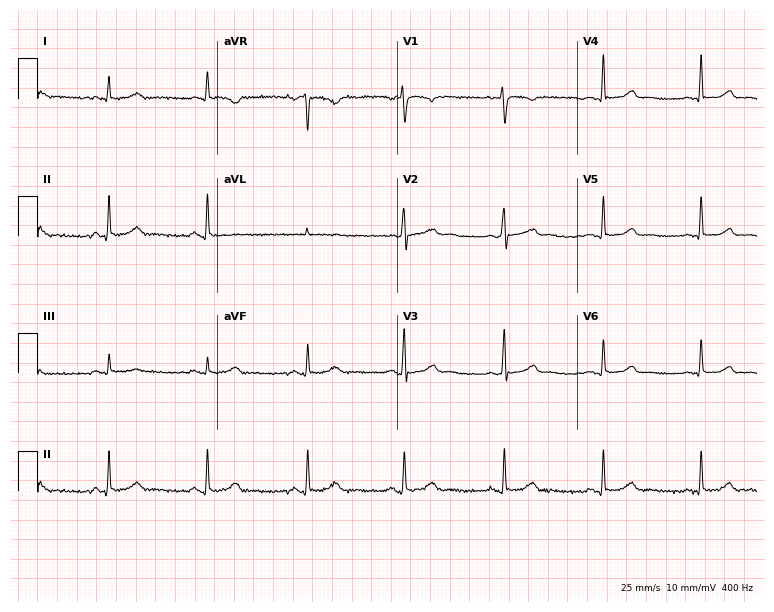
Resting 12-lead electrocardiogram (7.3-second recording at 400 Hz). Patient: a female, 33 years old. Read as a normal ECG.